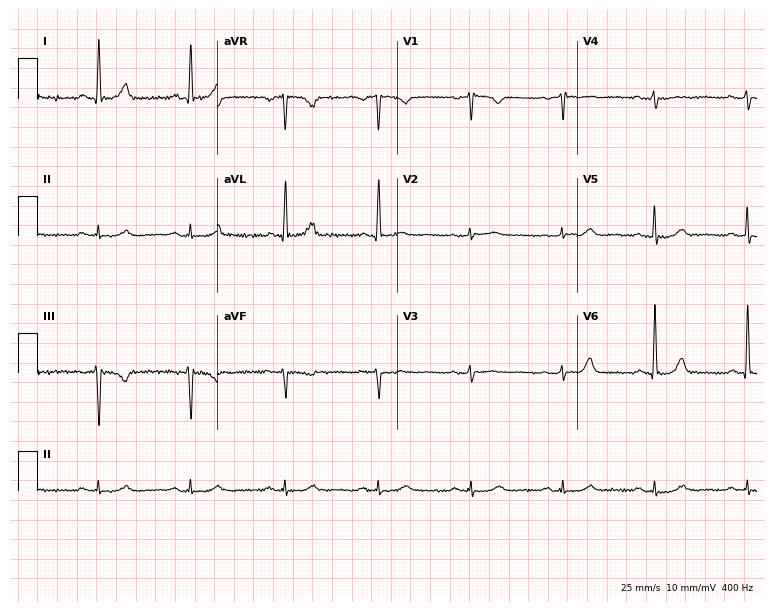
12-lead ECG (7.3-second recording at 400 Hz) from a woman, 65 years old. Labelled as a normal ECG.